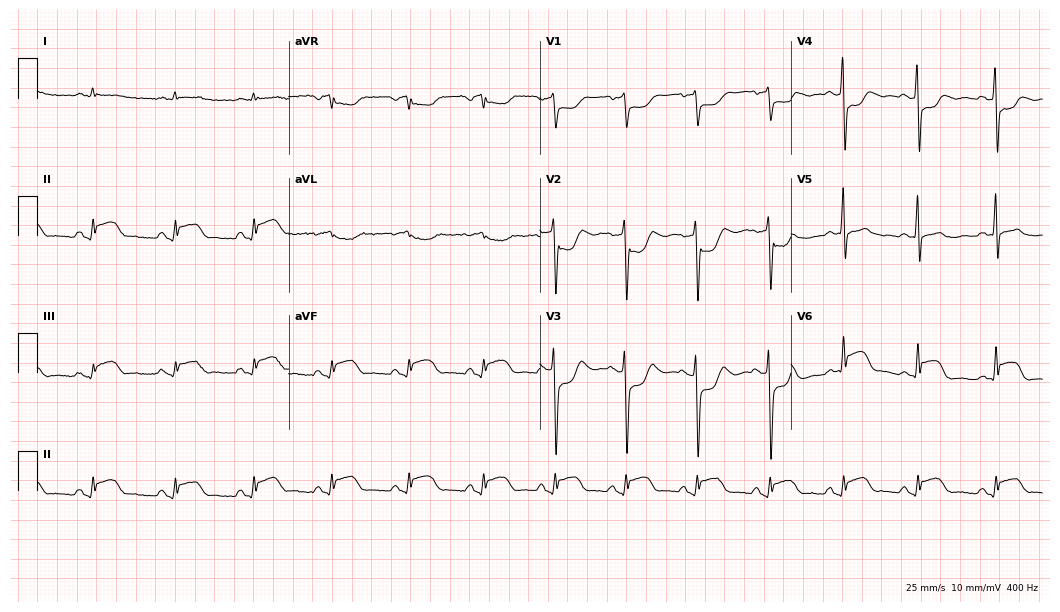
Standard 12-lead ECG recorded from a male, 57 years old (10.2-second recording at 400 Hz). None of these six findings is recorded: first-degree AV block, right bundle branch block (RBBB), left bundle branch block (LBBB), sinus bradycardia, atrial fibrillation (AF), sinus tachycardia. Findings outside these six are not listed.